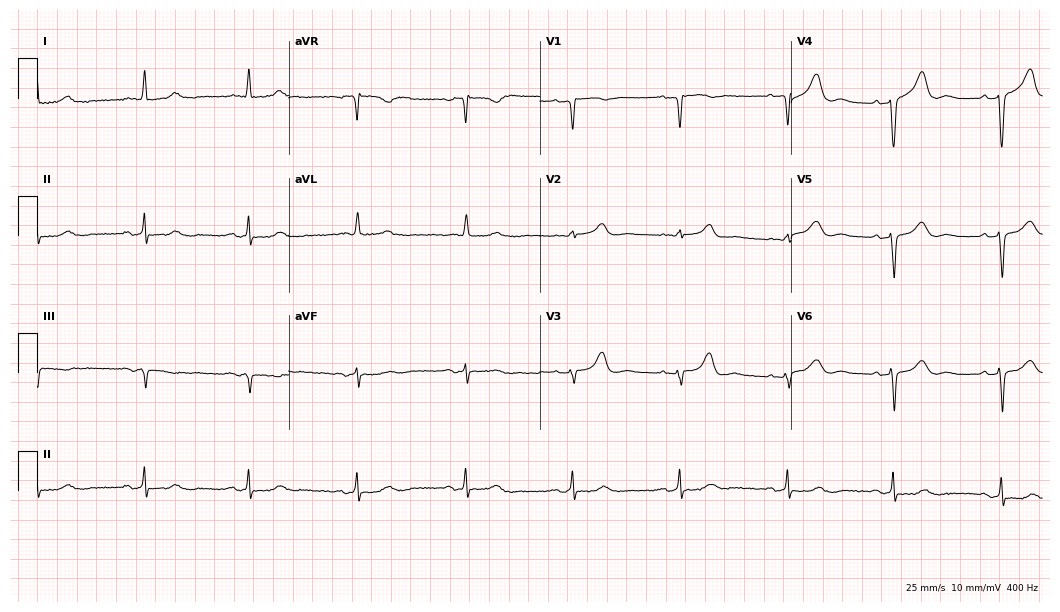
Resting 12-lead electrocardiogram. Patient: a 77-year-old woman. None of these six findings is recorded: first-degree AV block, right bundle branch block, left bundle branch block, sinus bradycardia, atrial fibrillation, sinus tachycardia.